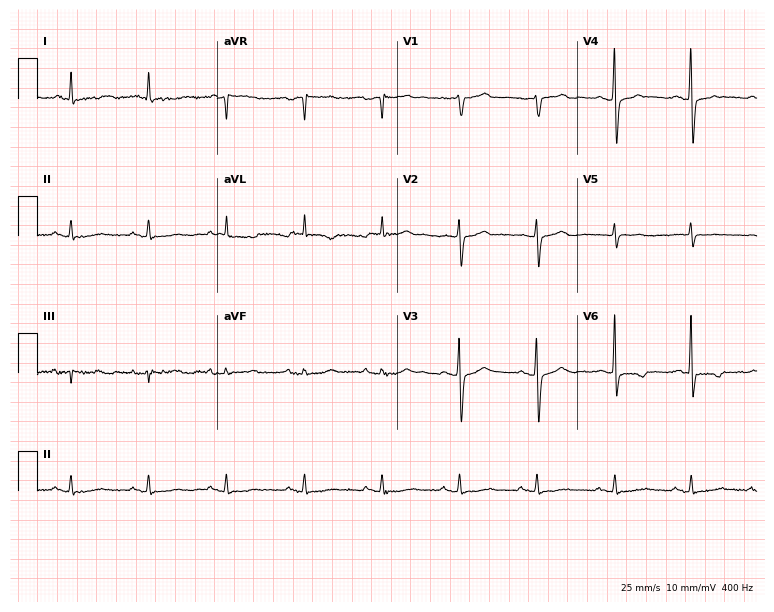
12-lead ECG from a 76-year-old male. Screened for six findings — first-degree AV block, right bundle branch block, left bundle branch block, sinus bradycardia, atrial fibrillation, sinus tachycardia — none is recorded. Findings outside these six are not listed.